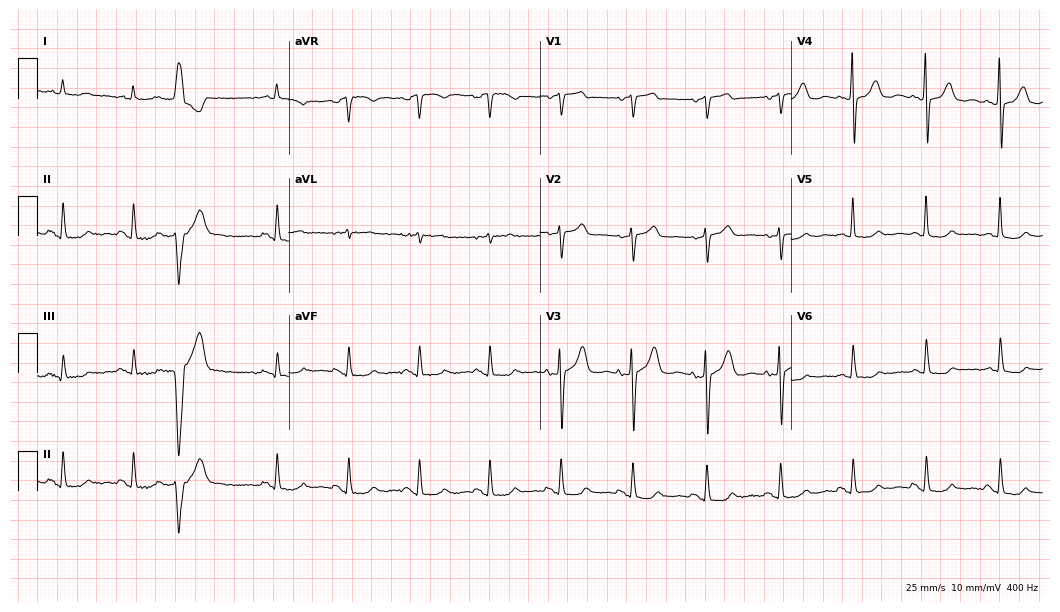
ECG (10.2-second recording at 400 Hz) — a female, 65 years old. Labelled as a normal ECG.